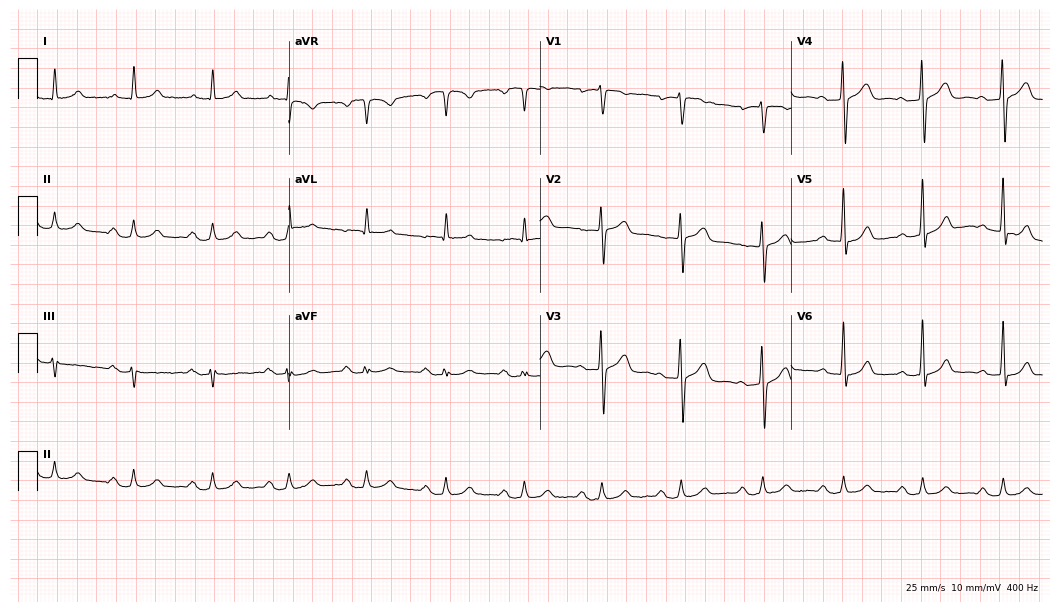
Electrocardiogram (10.2-second recording at 400 Hz), a 66-year-old male. Overall reading on record: normal ECG.